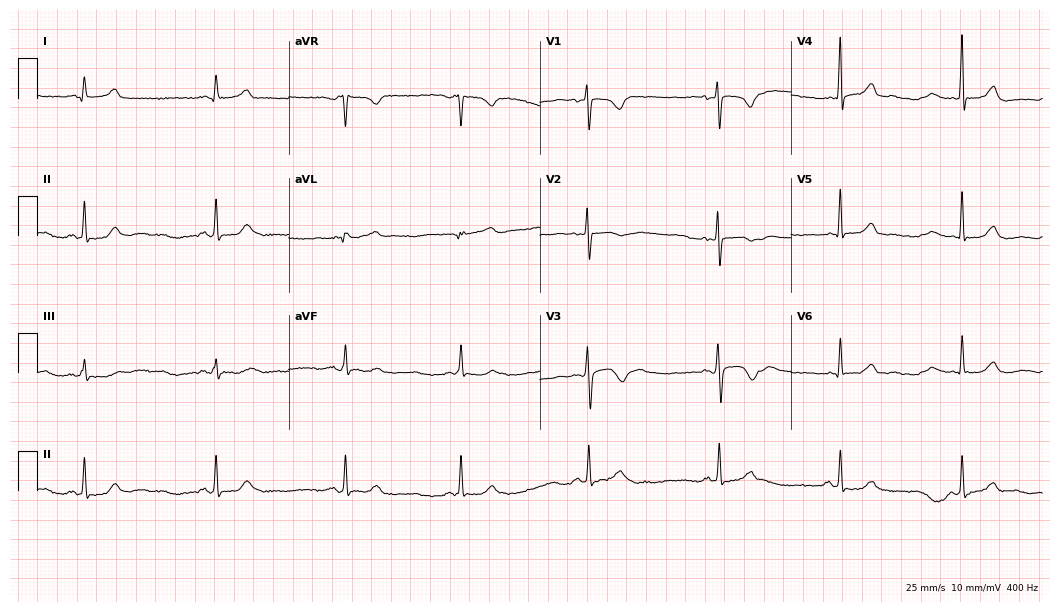
12-lead ECG from a 24-year-old female patient. No first-degree AV block, right bundle branch block, left bundle branch block, sinus bradycardia, atrial fibrillation or sinus tachycardia recorded for this tracing.